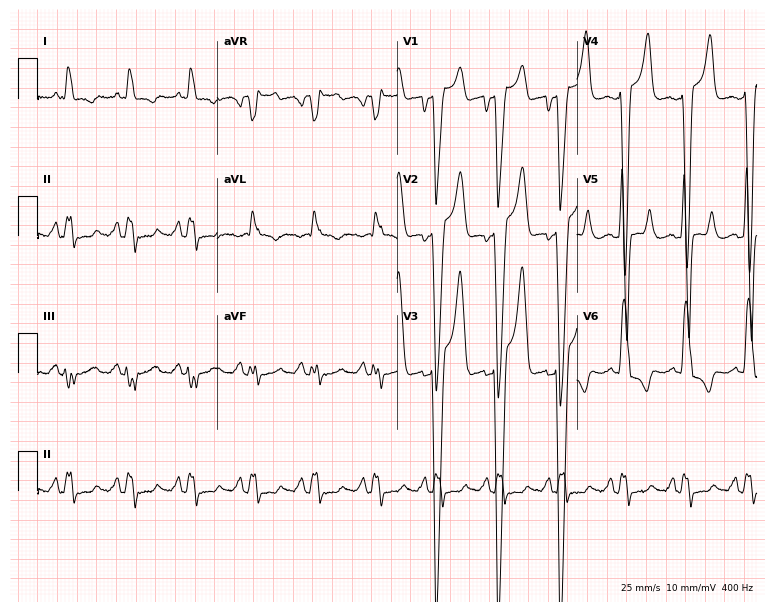
12-lead ECG from a male, 55 years old. Findings include left bundle branch block.